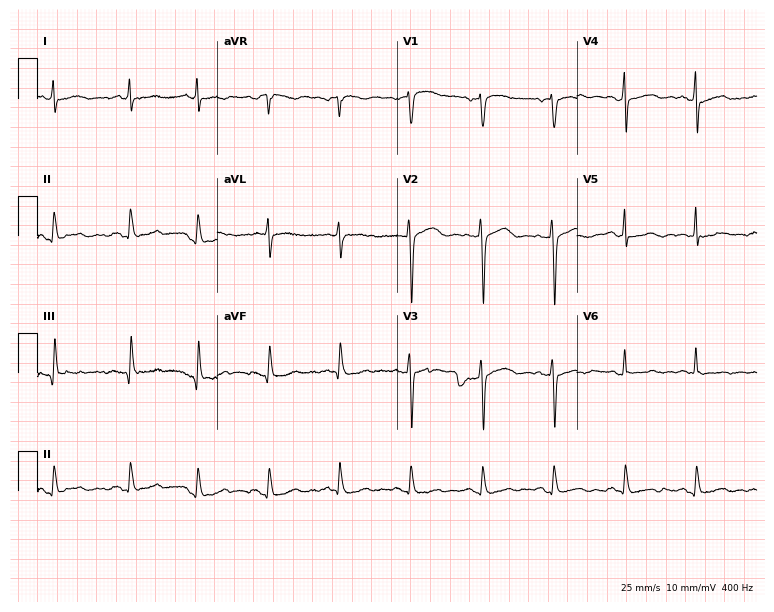
Standard 12-lead ECG recorded from a 53-year-old woman (7.3-second recording at 400 Hz). None of these six findings is recorded: first-degree AV block, right bundle branch block, left bundle branch block, sinus bradycardia, atrial fibrillation, sinus tachycardia.